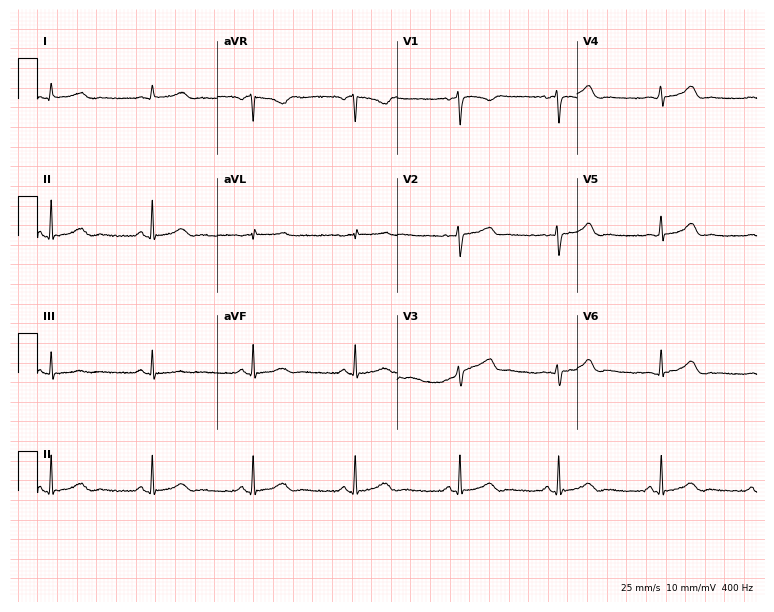
Resting 12-lead electrocardiogram (7.3-second recording at 400 Hz). Patient: a female, 42 years old. None of these six findings is recorded: first-degree AV block, right bundle branch block, left bundle branch block, sinus bradycardia, atrial fibrillation, sinus tachycardia. Findings outside these six are not listed.